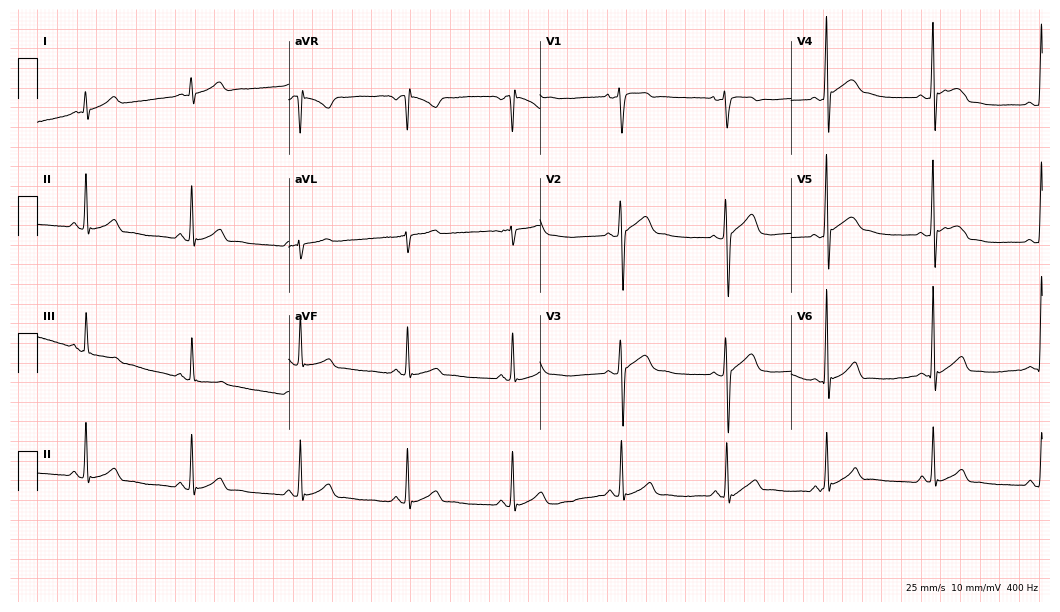
12-lead ECG from a male patient, 22 years old. Recorded interpretation: within normal limits.